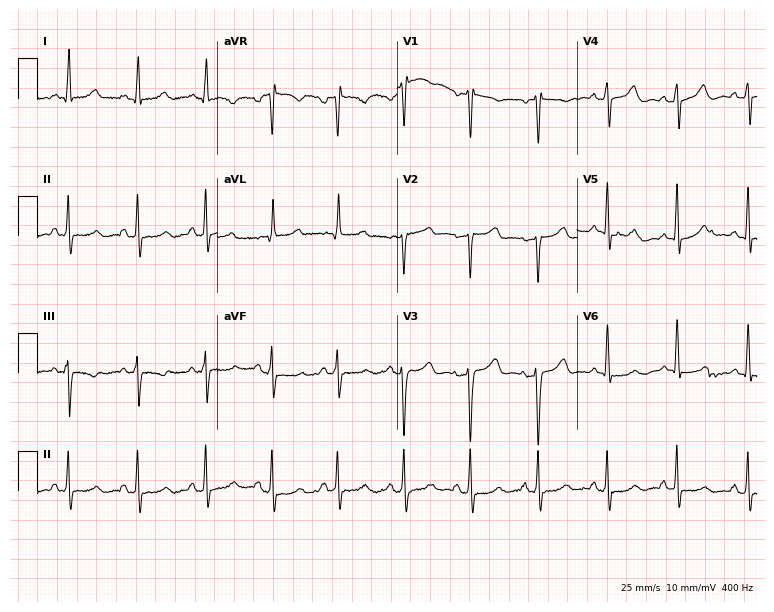
12-lead ECG from a female, 50 years old. Labelled as a normal ECG.